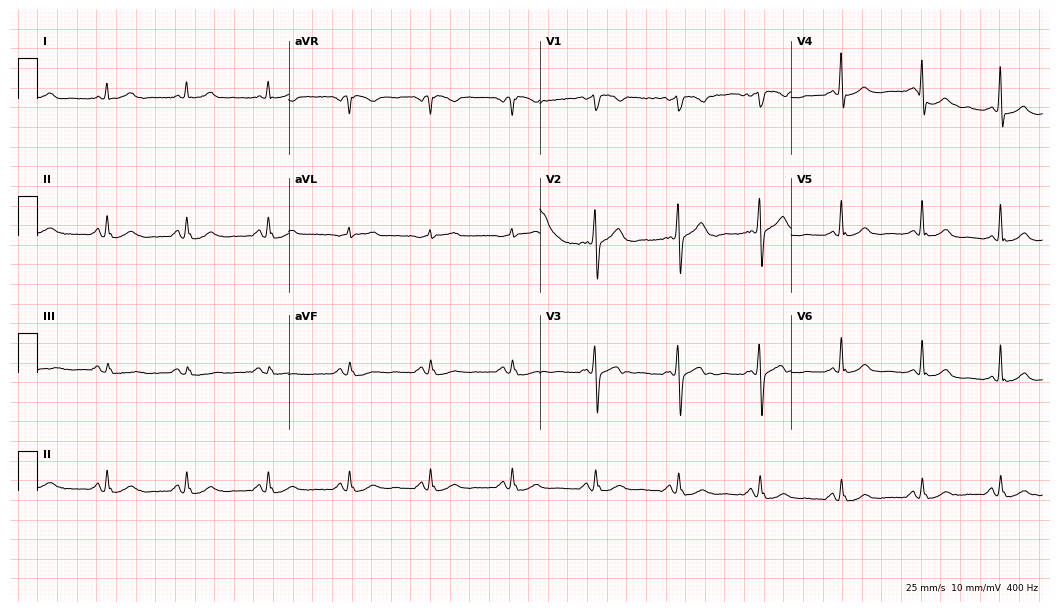
Electrocardiogram (10.2-second recording at 400 Hz), a woman, 69 years old. Overall reading on record: normal ECG.